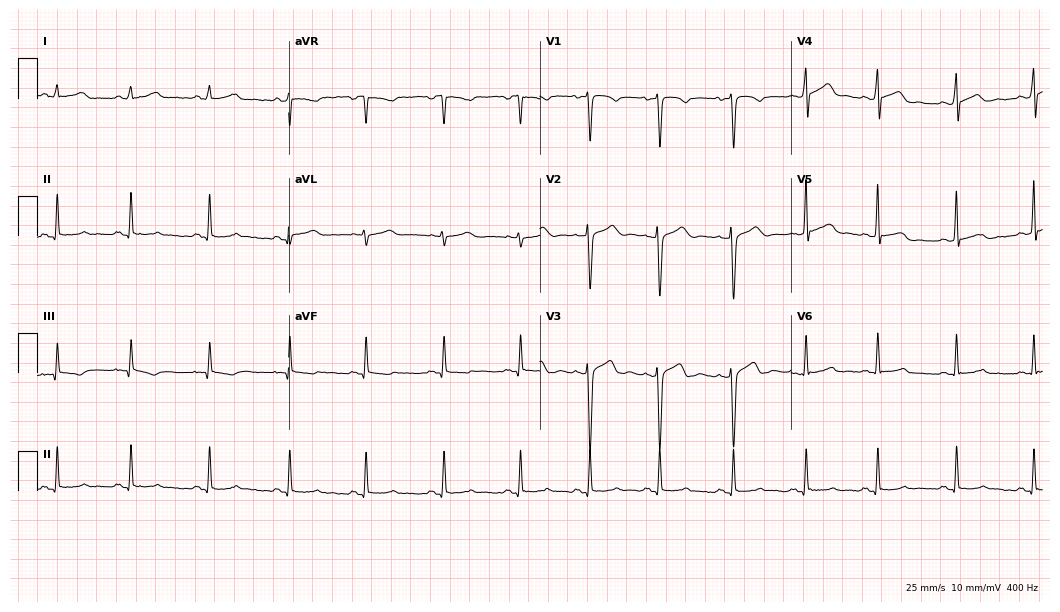
12-lead ECG from a female, 20 years old. No first-degree AV block, right bundle branch block (RBBB), left bundle branch block (LBBB), sinus bradycardia, atrial fibrillation (AF) or sinus tachycardia recorded for this tracing. Findings outside these six are not listed.